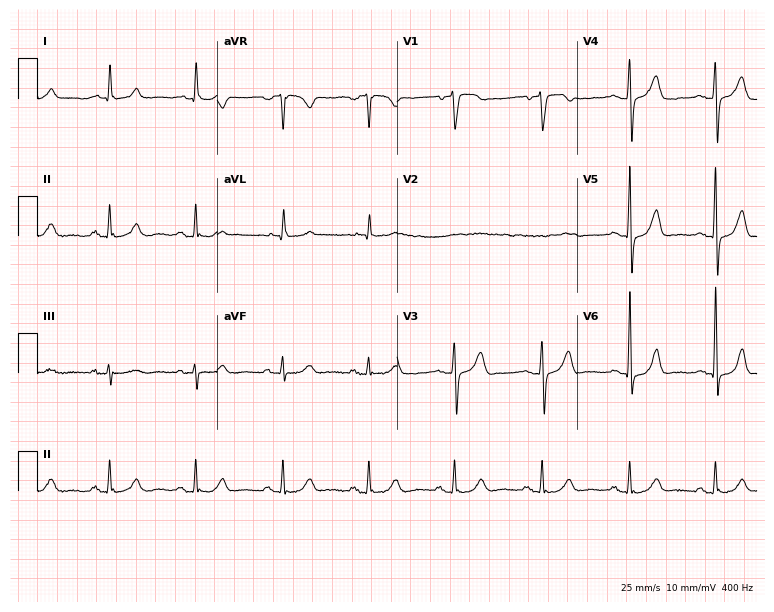
12-lead ECG from a 70-year-old male patient. Labelled as a normal ECG.